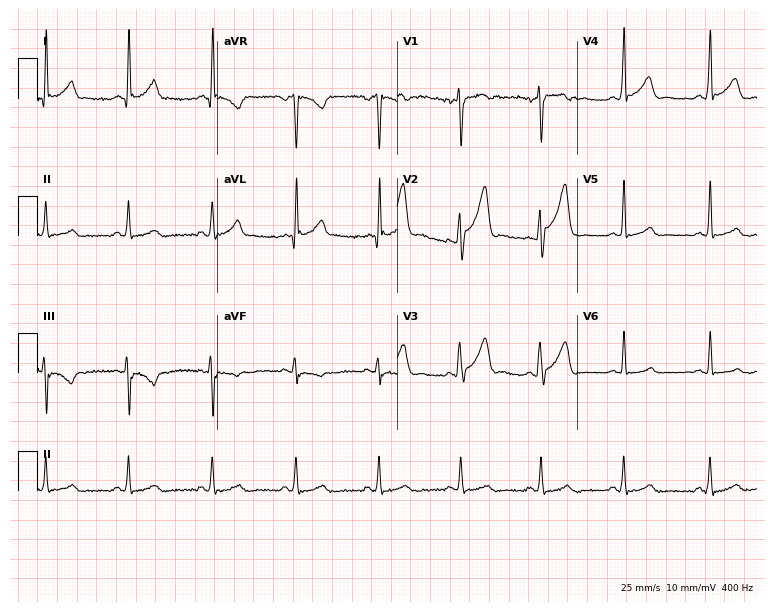
ECG (7.3-second recording at 400 Hz) — a 35-year-old male. Screened for six findings — first-degree AV block, right bundle branch block (RBBB), left bundle branch block (LBBB), sinus bradycardia, atrial fibrillation (AF), sinus tachycardia — none is recorded.